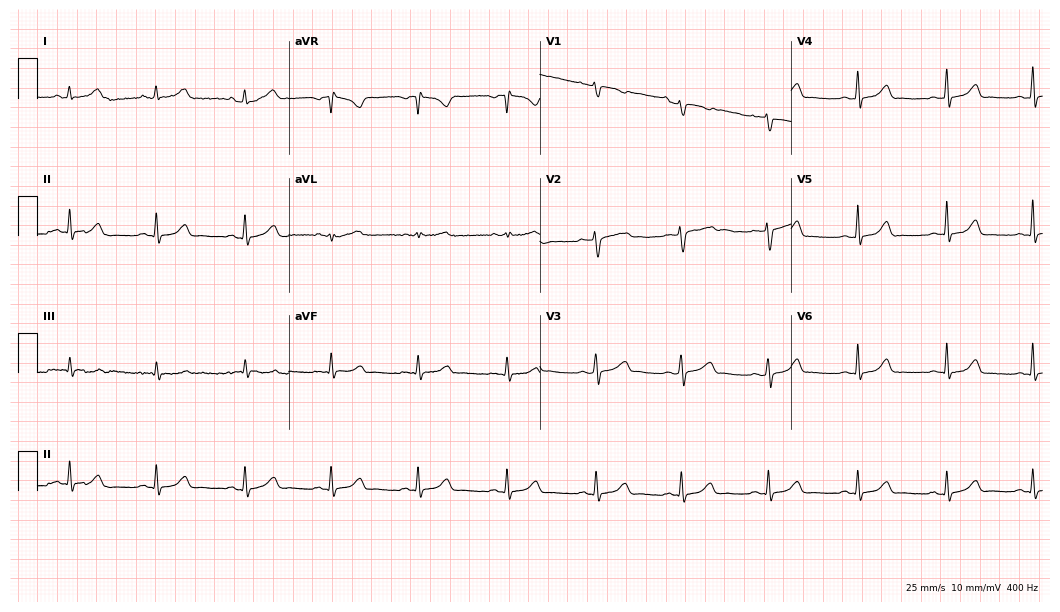
12-lead ECG from a woman, 31 years old. Labelled as a normal ECG.